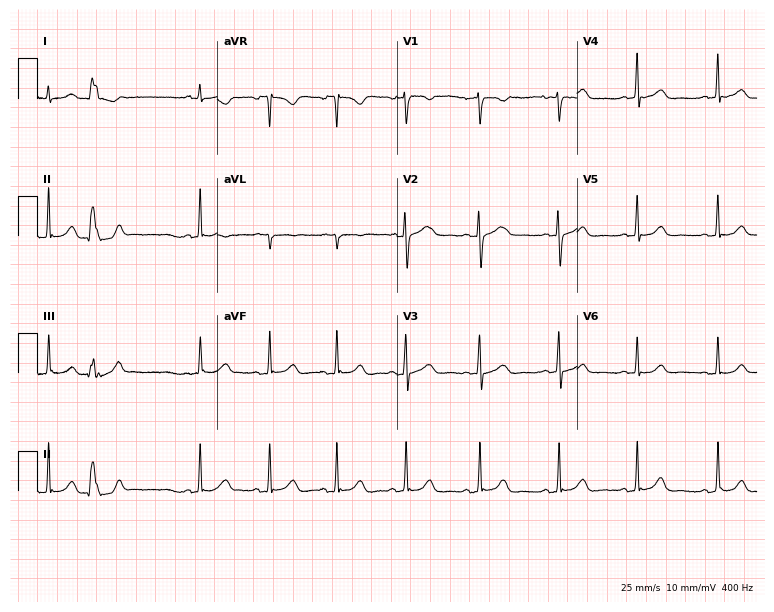
ECG — a female patient, 37 years old. Screened for six findings — first-degree AV block, right bundle branch block, left bundle branch block, sinus bradycardia, atrial fibrillation, sinus tachycardia — none is recorded.